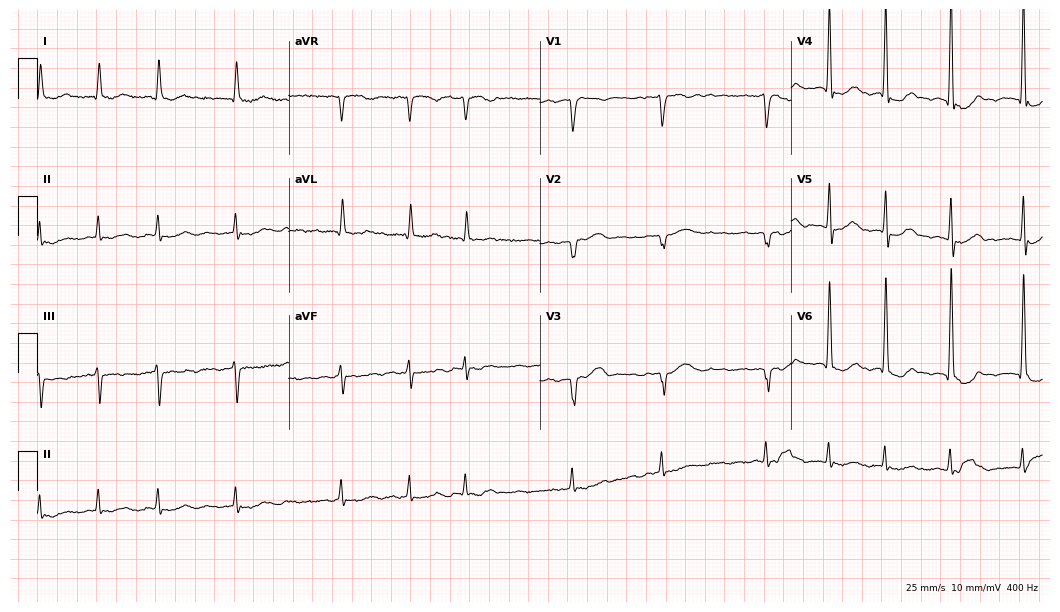
12-lead ECG from a 76-year-old male. Shows atrial fibrillation.